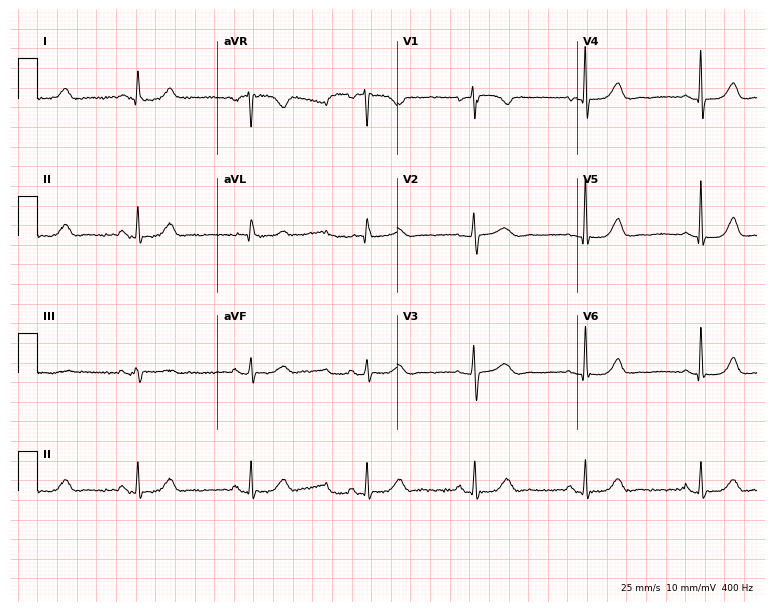
Standard 12-lead ECG recorded from a woman, 64 years old (7.3-second recording at 400 Hz). Read as a normal ECG.